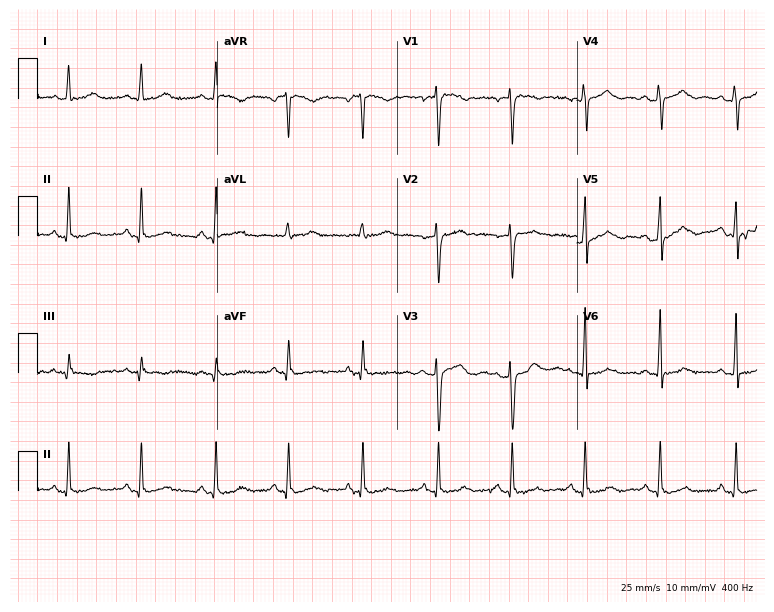
12-lead ECG from a 35-year-old female patient. No first-degree AV block, right bundle branch block (RBBB), left bundle branch block (LBBB), sinus bradycardia, atrial fibrillation (AF) or sinus tachycardia recorded for this tracing. Other findings, if any, are not listed.